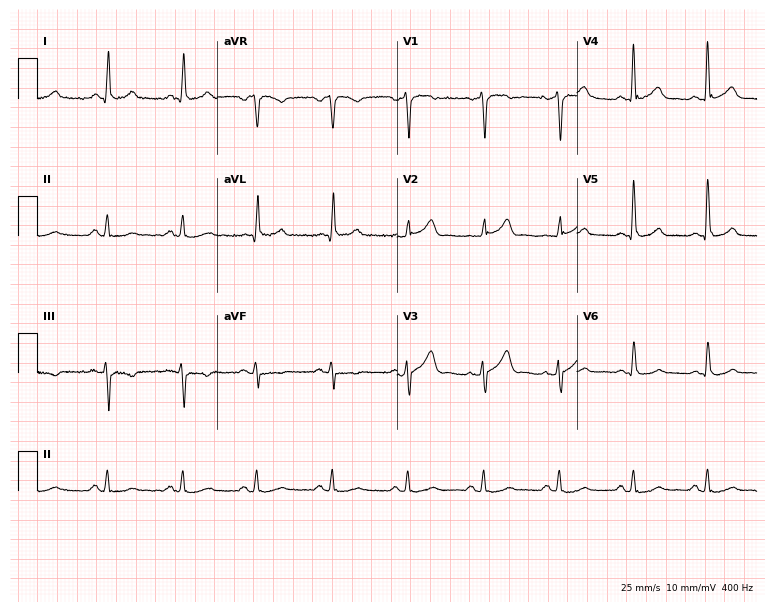
Resting 12-lead electrocardiogram. Patient: a male, 65 years old. None of these six findings is recorded: first-degree AV block, right bundle branch block, left bundle branch block, sinus bradycardia, atrial fibrillation, sinus tachycardia.